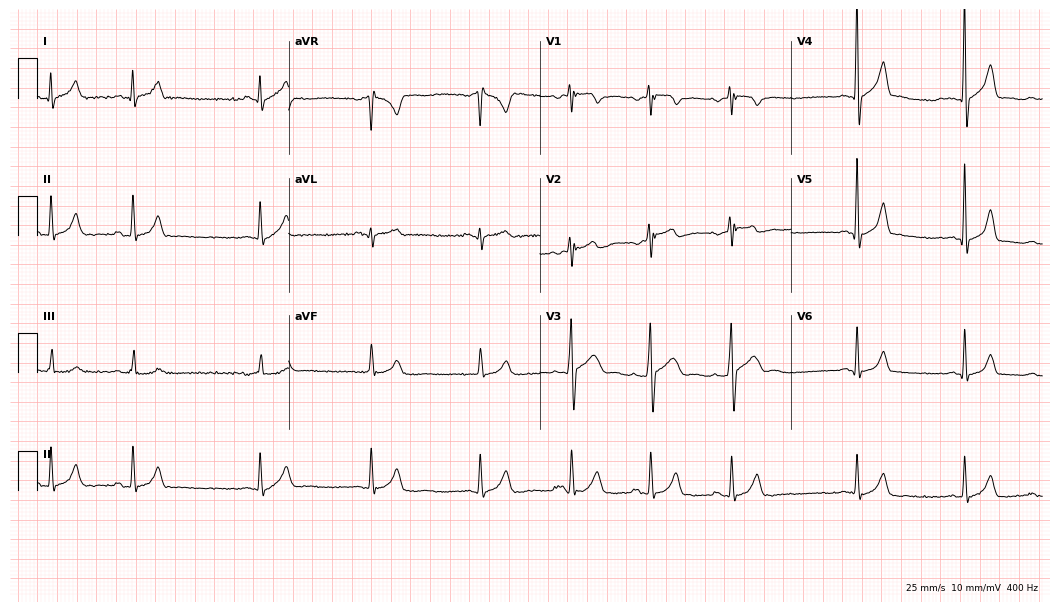
Electrocardiogram, a 21-year-old male patient. Overall reading on record: normal ECG.